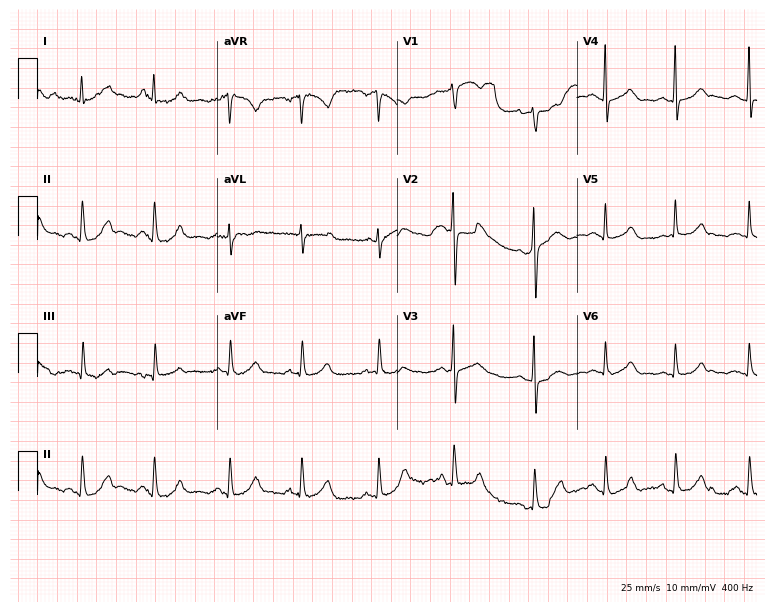
Electrocardiogram, a female, 38 years old. Overall reading on record: normal ECG.